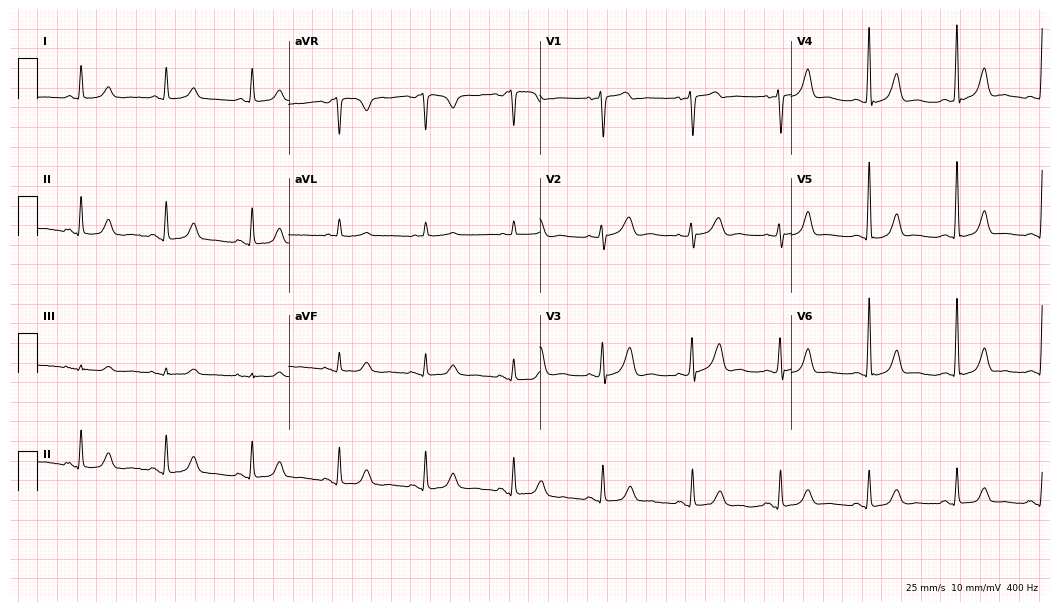
12-lead ECG (10.2-second recording at 400 Hz) from a woman, 53 years old. Labelled as a normal ECG.